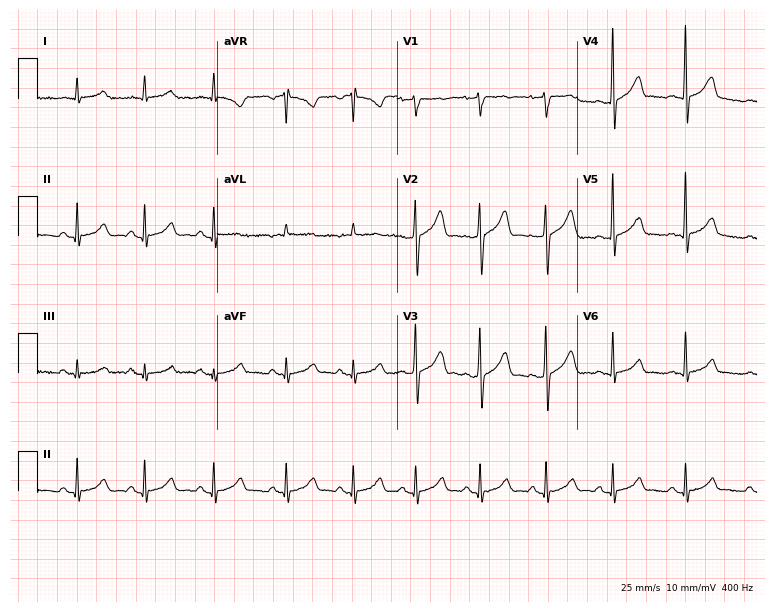
Resting 12-lead electrocardiogram. Patient: a 44-year-old male. Read as a normal ECG.